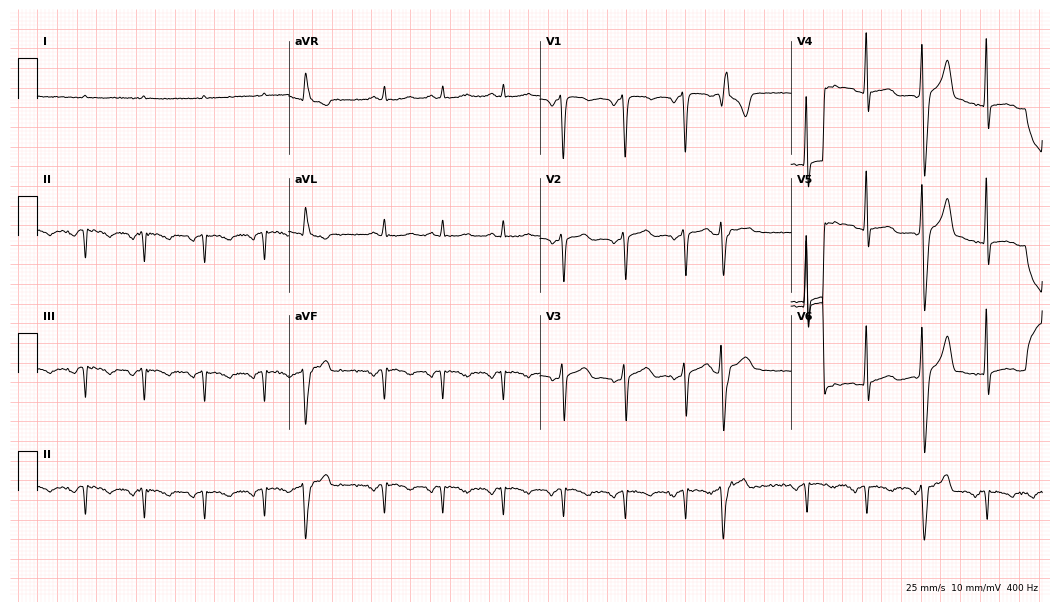
Resting 12-lead electrocardiogram. Patient: a 56-year-old man. None of these six findings is recorded: first-degree AV block, right bundle branch block, left bundle branch block, sinus bradycardia, atrial fibrillation, sinus tachycardia. Other findings, if any, are not listed.